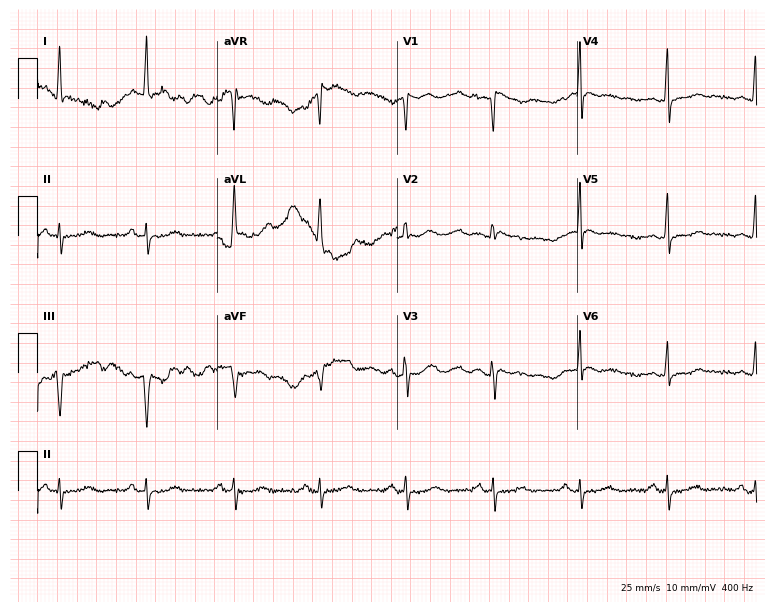
ECG (7.3-second recording at 400 Hz) — a female, 80 years old. Screened for six findings — first-degree AV block, right bundle branch block (RBBB), left bundle branch block (LBBB), sinus bradycardia, atrial fibrillation (AF), sinus tachycardia — none is recorded. Other findings, if any, are not listed.